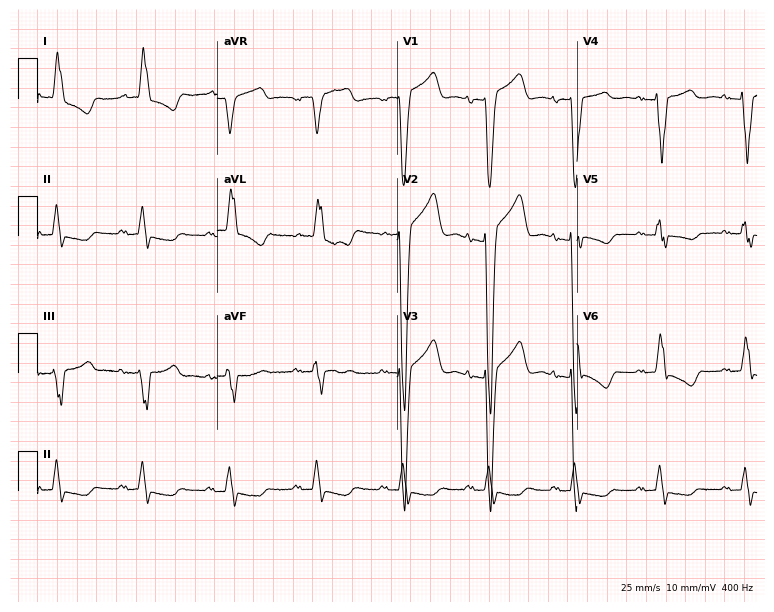
Resting 12-lead electrocardiogram. Patient: an 84-year-old female. The tracing shows first-degree AV block, left bundle branch block.